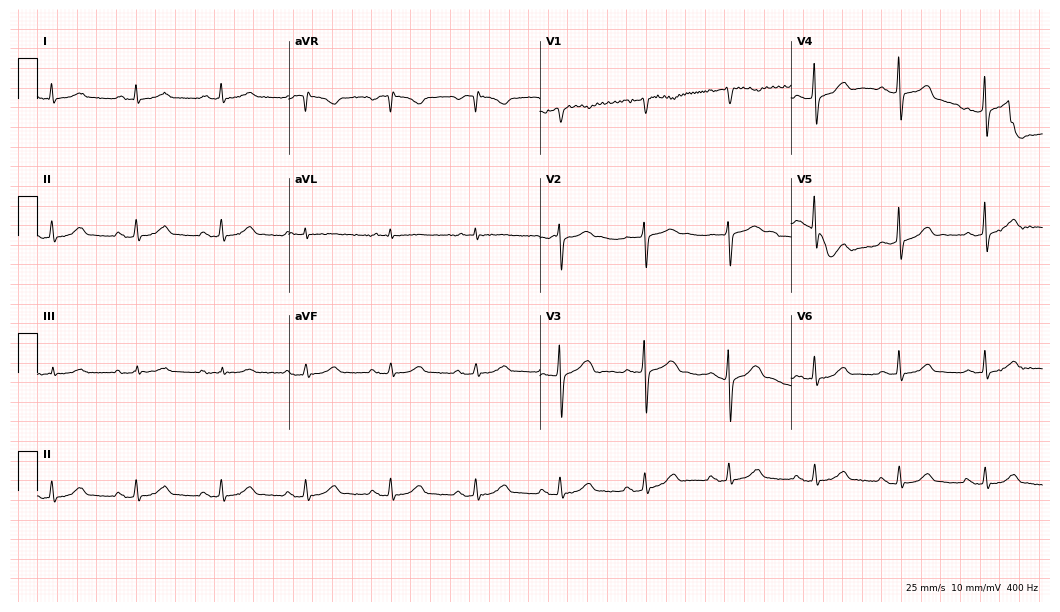
Standard 12-lead ECG recorded from a male patient, 76 years old. None of these six findings is recorded: first-degree AV block, right bundle branch block, left bundle branch block, sinus bradycardia, atrial fibrillation, sinus tachycardia.